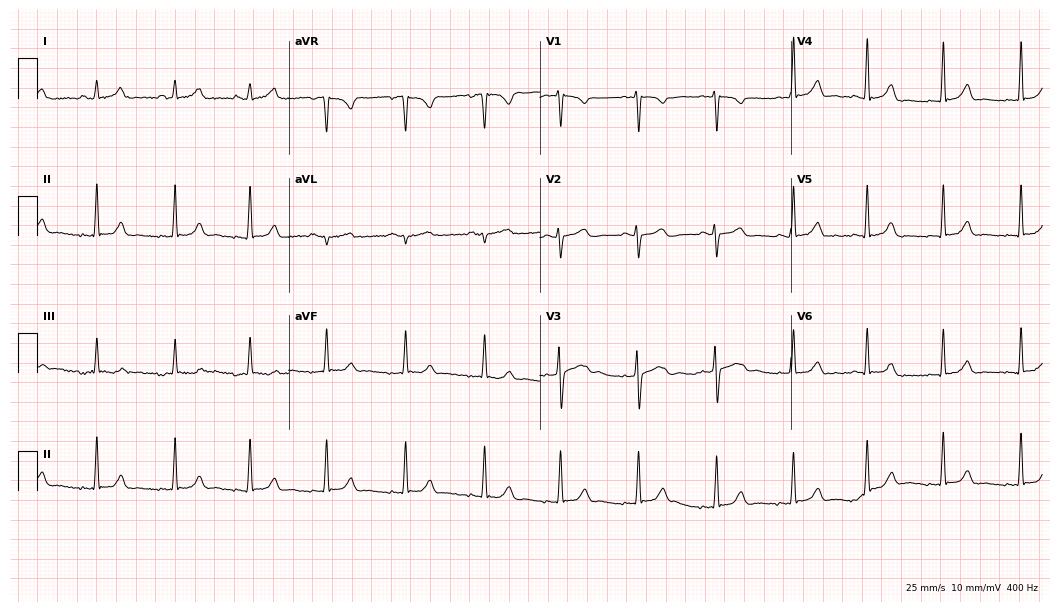
Electrocardiogram, a 17-year-old female. Overall reading on record: normal ECG.